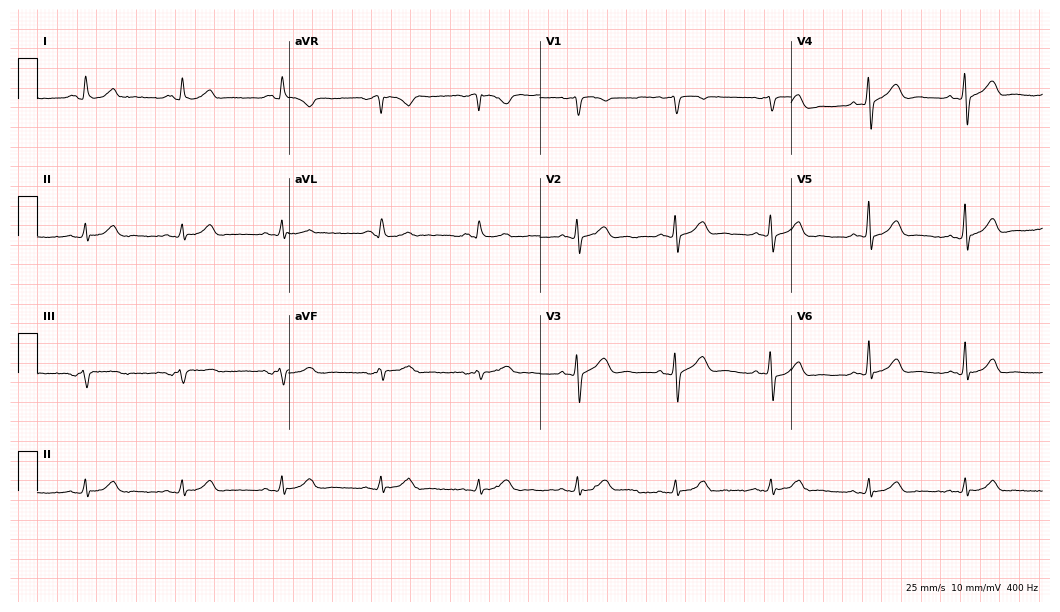
ECG — a 67-year-old man. Labelled as a normal ECG.